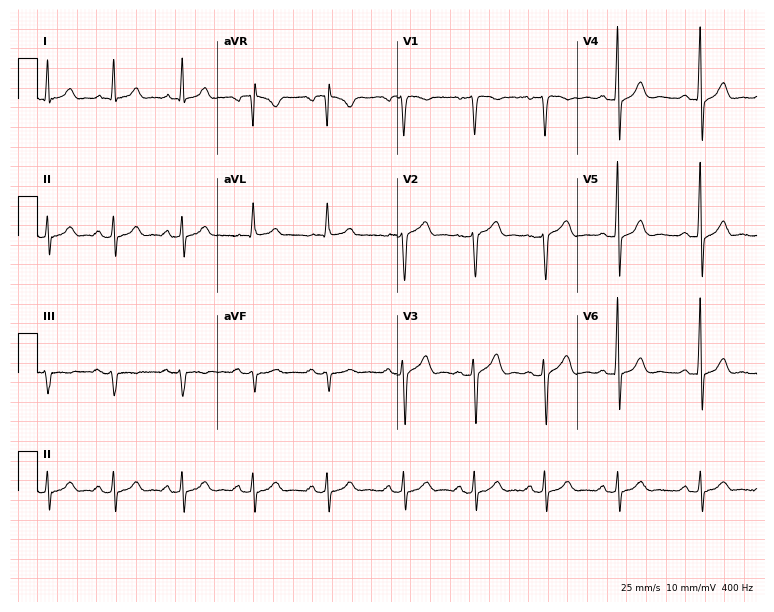
Resting 12-lead electrocardiogram (7.3-second recording at 400 Hz). Patient: a 37-year-old male. Read as a normal ECG.